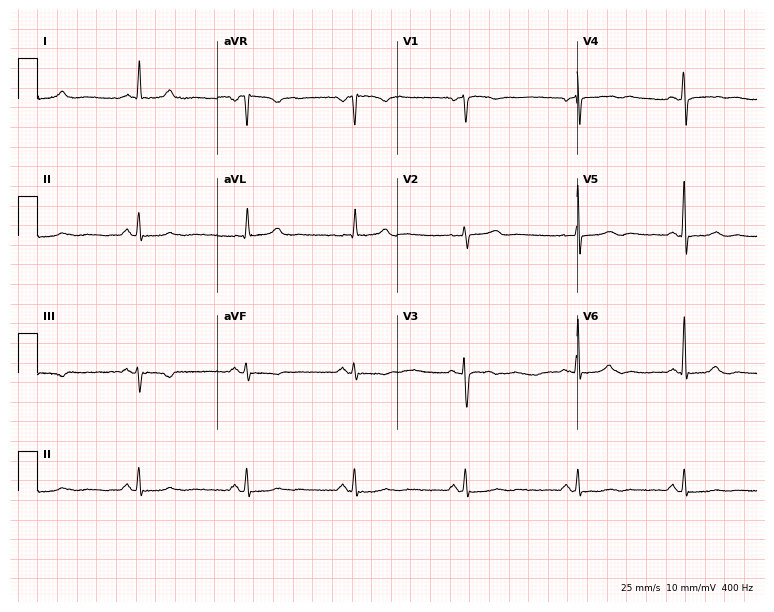
Resting 12-lead electrocardiogram (7.3-second recording at 400 Hz). Patient: a female, 63 years old. None of these six findings is recorded: first-degree AV block, right bundle branch block, left bundle branch block, sinus bradycardia, atrial fibrillation, sinus tachycardia. Other findings, if any, are not listed.